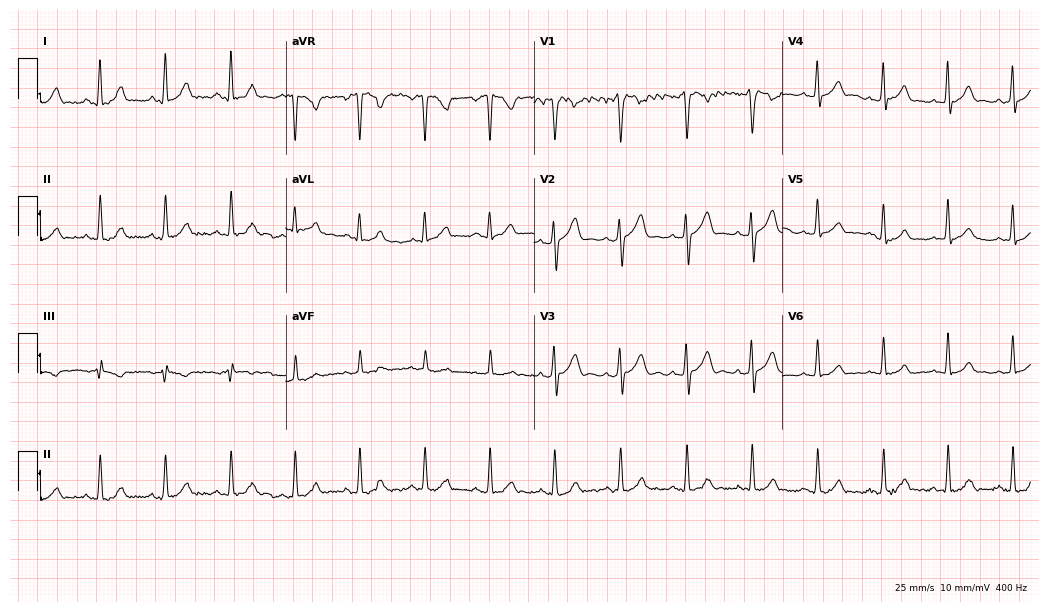
ECG — a male, 23 years old. Labelled as a normal ECG.